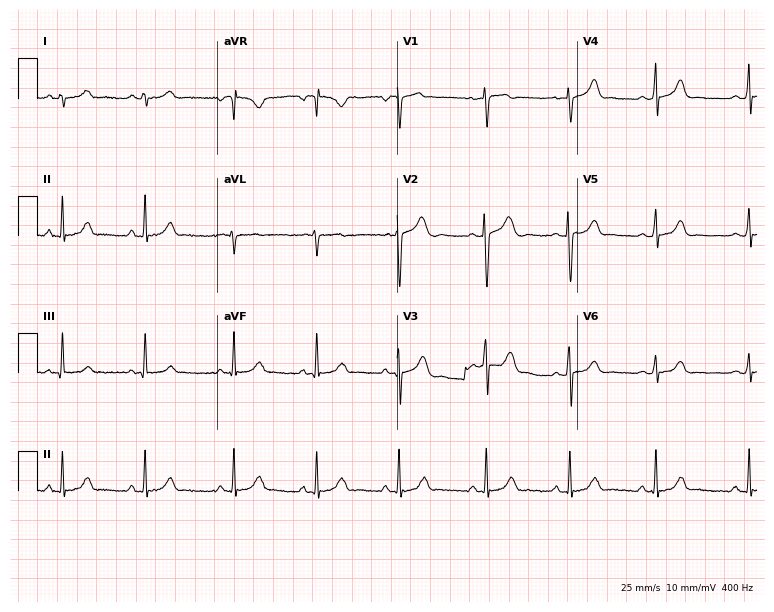
Resting 12-lead electrocardiogram. Patient: a 20-year-old female. Read as a normal ECG.